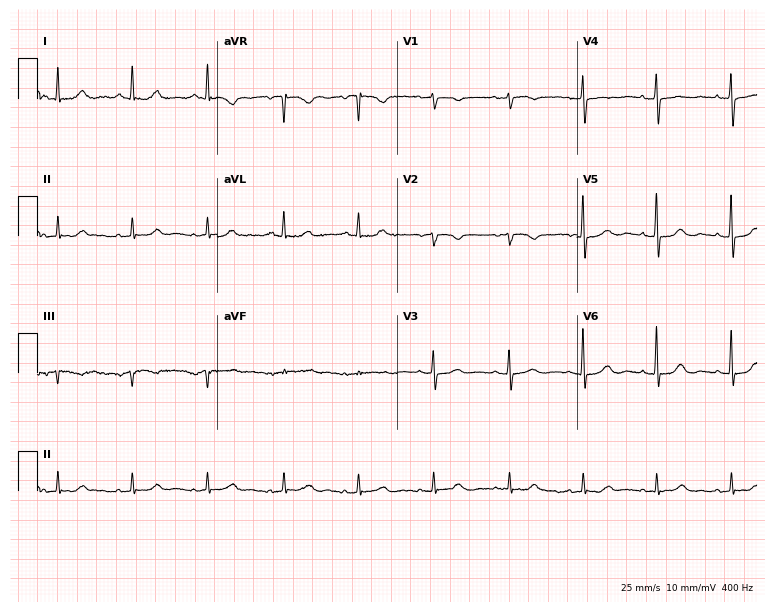
12-lead ECG from an 84-year-old female patient (7.3-second recording at 400 Hz). No first-degree AV block, right bundle branch block (RBBB), left bundle branch block (LBBB), sinus bradycardia, atrial fibrillation (AF) or sinus tachycardia recorded for this tracing.